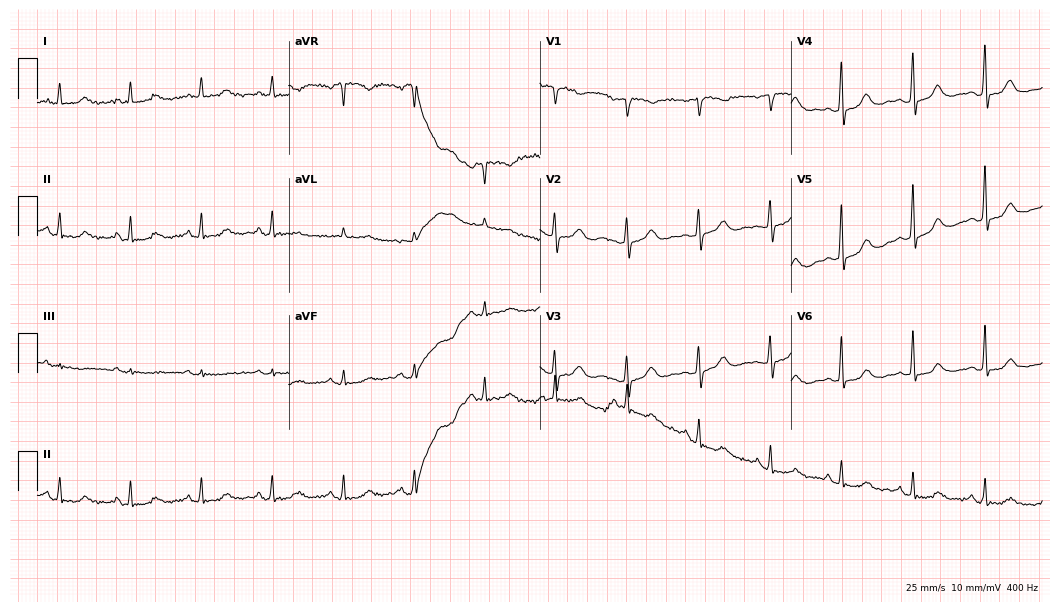
Electrocardiogram (10.2-second recording at 400 Hz), a female, 59 years old. Overall reading on record: normal ECG.